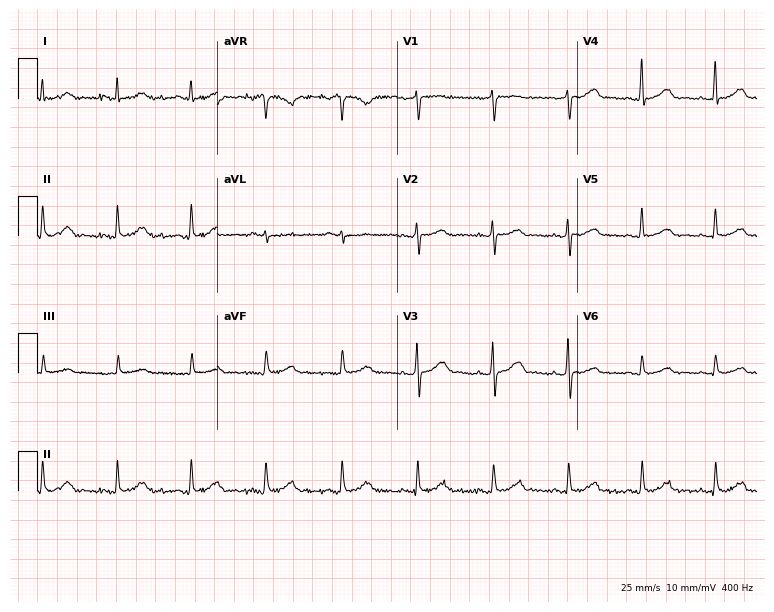
ECG (7.3-second recording at 400 Hz) — a female, 51 years old. Labelled as a normal ECG.